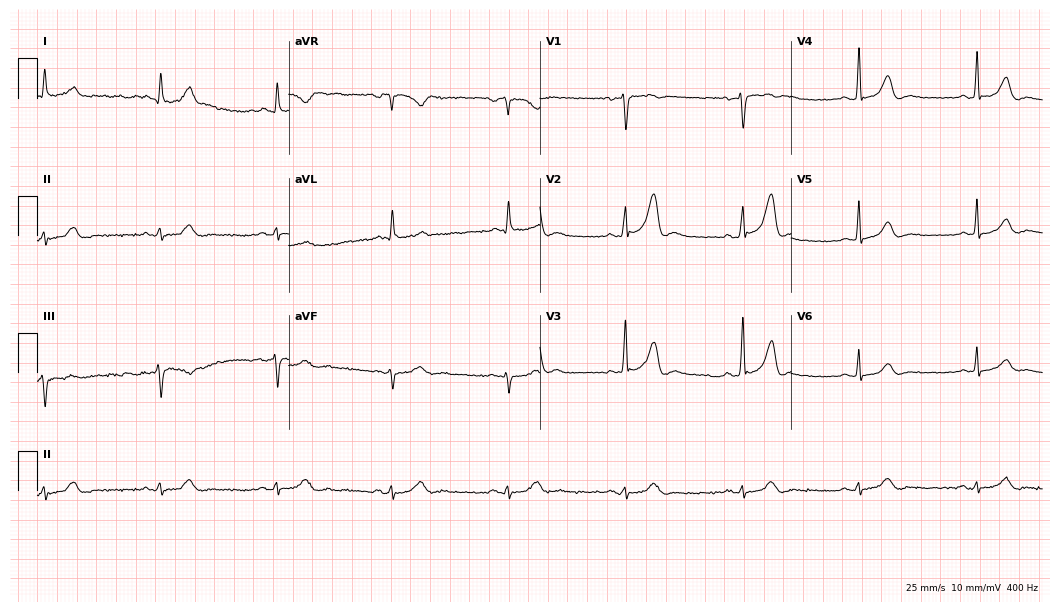
ECG — a 72-year-old male. Findings include sinus bradycardia (a sinus rate of 50 beats per minute or less).